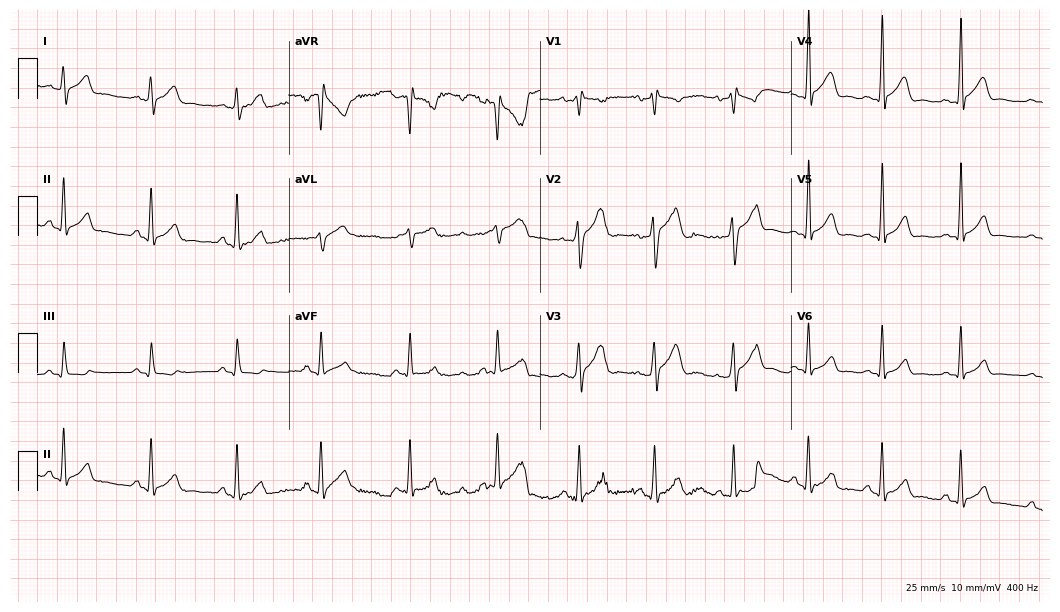
Electrocardiogram, a man, 20 years old. Overall reading on record: normal ECG.